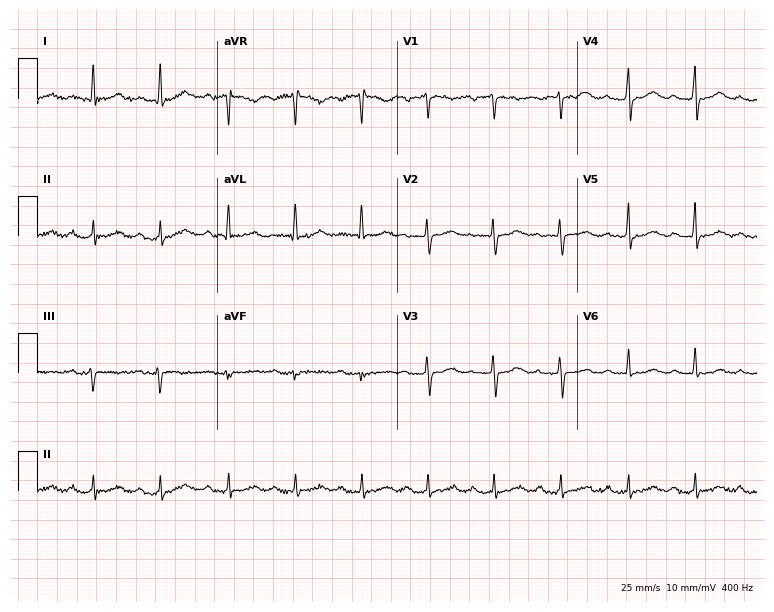
12-lead ECG from a female patient, 52 years old (7.3-second recording at 400 Hz). Shows first-degree AV block.